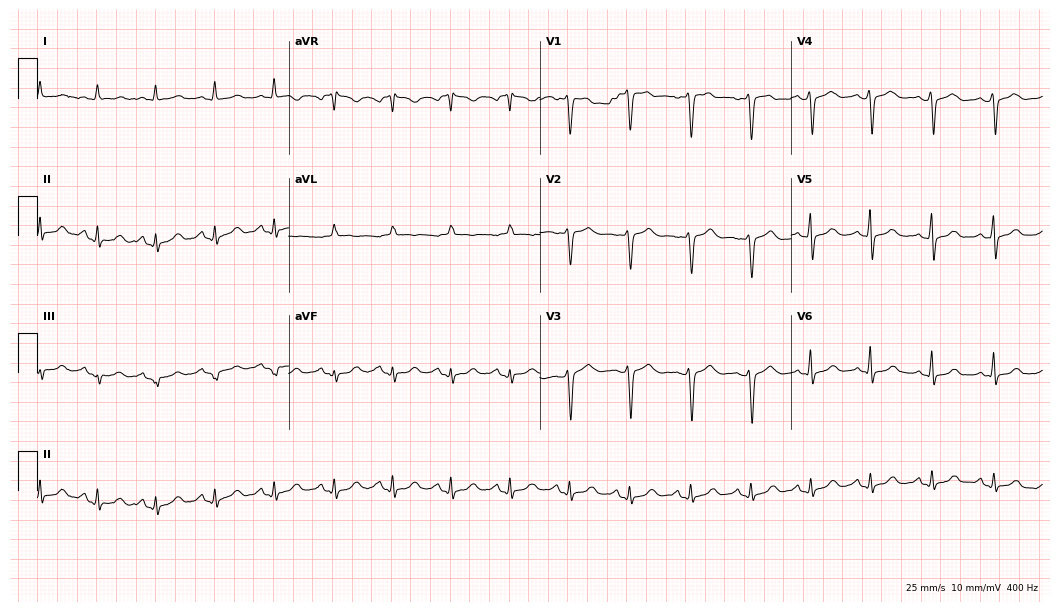
Standard 12-lead ECG recorded from a woman, 42 years old. None of these six findings is recorded: first-degree AV block, right bundle branch block (RBBB), left bundle branch block (LBBB), sinus bradycardia, atrial fibrillation (AF), sinus tachycardia.